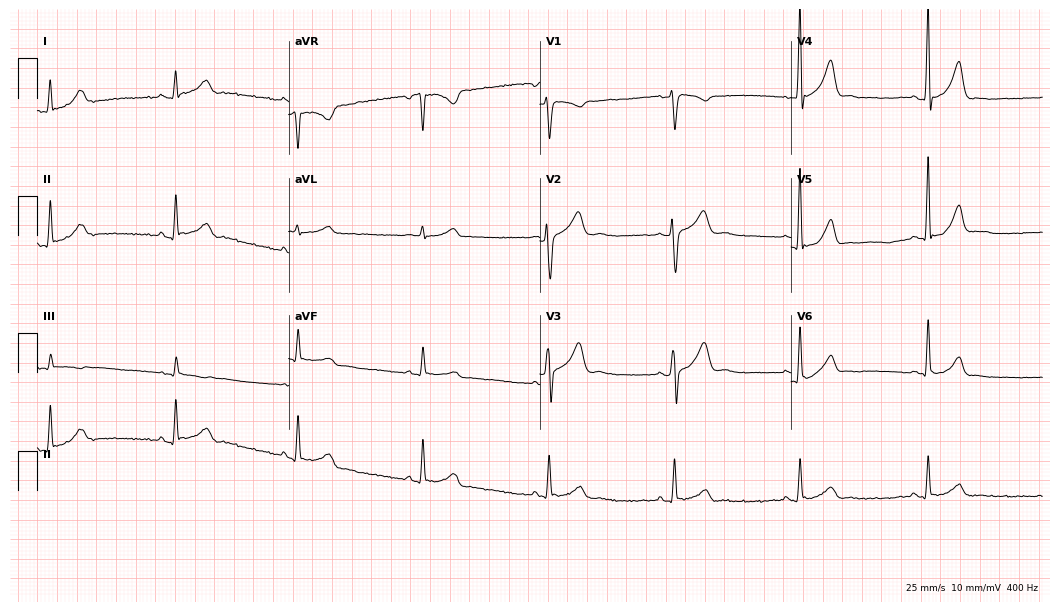
Electrocardiogram (10.2-second recording at 400 Hz), a 47-year-old male patient. Interpretation includes sinus bradycardia (a sinus rate of 50 beats per minute or less).